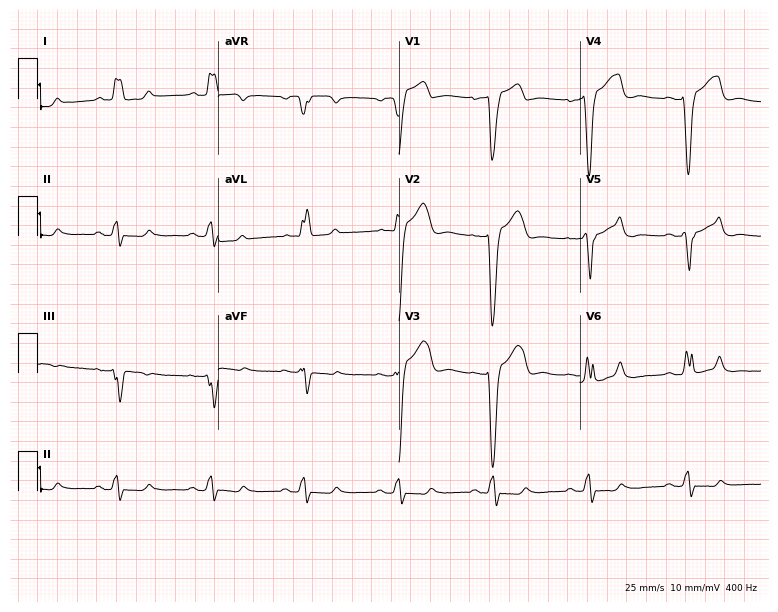
12-lead ECG from a 46-year-old female. Screened for six findings — first-degree AV block, right bundle branch block, left bundle branch block, sinus bradycardia, atrial fibrillation, sinus tachycardia — none is recorded.